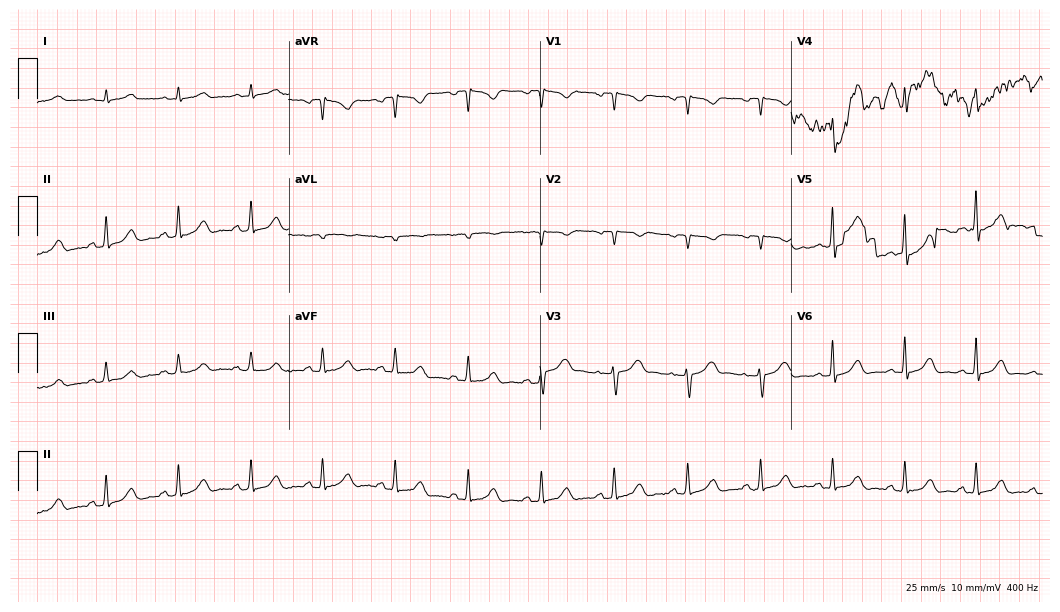
12-lead ECG from a woman, 37 years old (10.2-second recording at 400 Hz). No first-degree AV block, right bundle branch block (RBBB), left bundle branch block (LBBB), sinus bradycardia, atrial fibrillation (AF) or sinus tachycardia recorded for this tracing. Only these six findings were labelled.